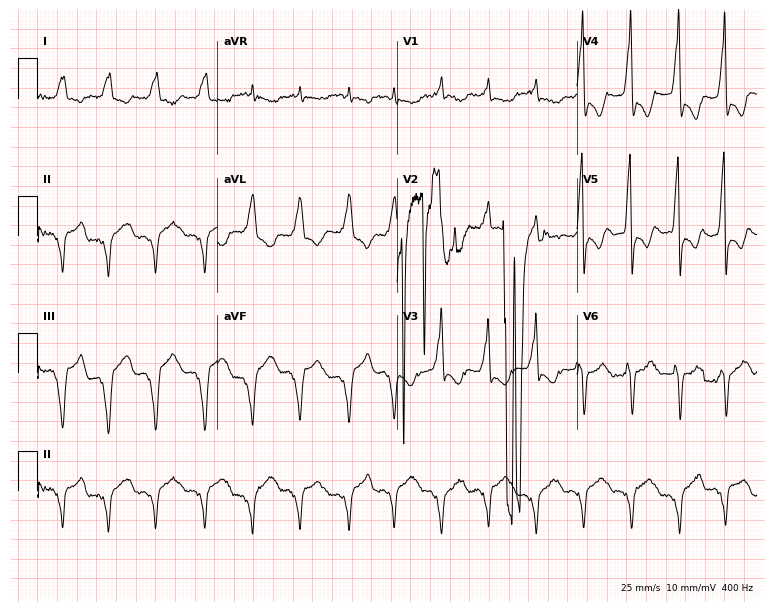
12-lead ECG from a 48-year-old female patient. No first-degree AV block, right bundle branch block, left bundle branch block, sinus bradycardia, atrial fibrillation or sinus tachycardia recorded for this tracing. Findings outside these six are not listed.